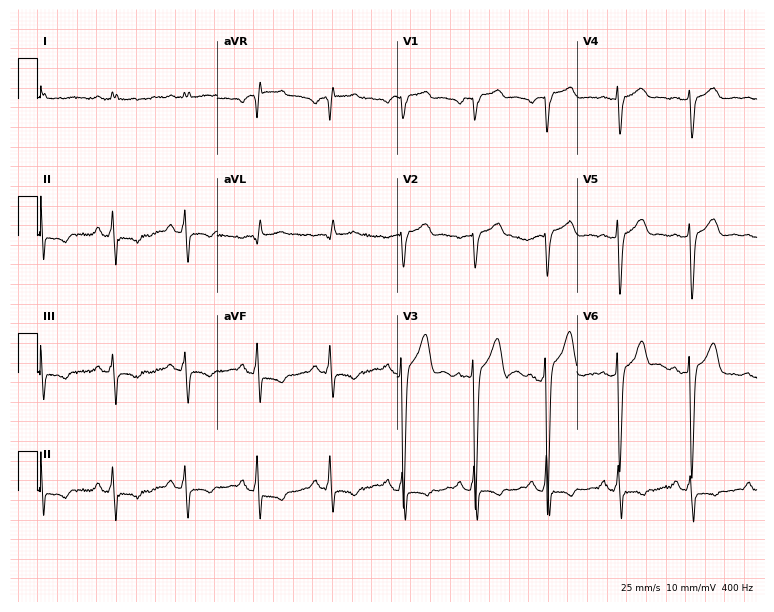
12-lead ECG from a male, 68 years old (7.3-second recording at 400 Hz). No first-degree AV block, right bundle branch block (RBBB), left bundle branch block (LBBB), sinus bradycardia, atrial fibrillation (AF) or sinus tachycardia recorded for this tracing.